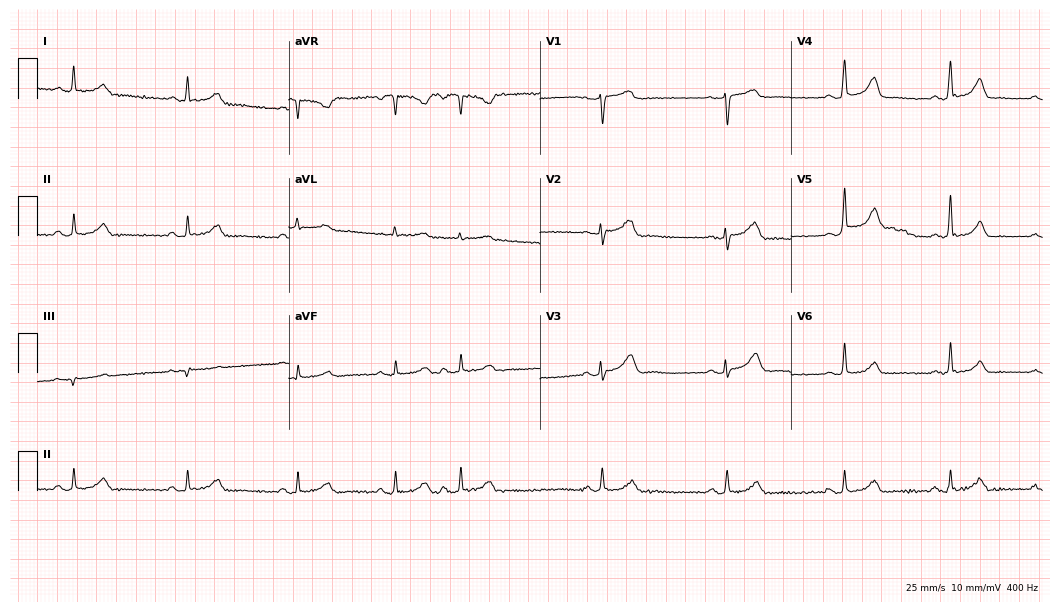
Resting 12-lead electrocardiogram (10.2-second recording at 400 Hz). Patient: a female, 50 years old. None of these six findings is recorded: first-degree AV block, right bundle branch block (RBBB), left bundle branch block (LBBB), sinus bradycardia, atrial fibrillation (AF), sinus tachycardia. Only these six findings were labelled.